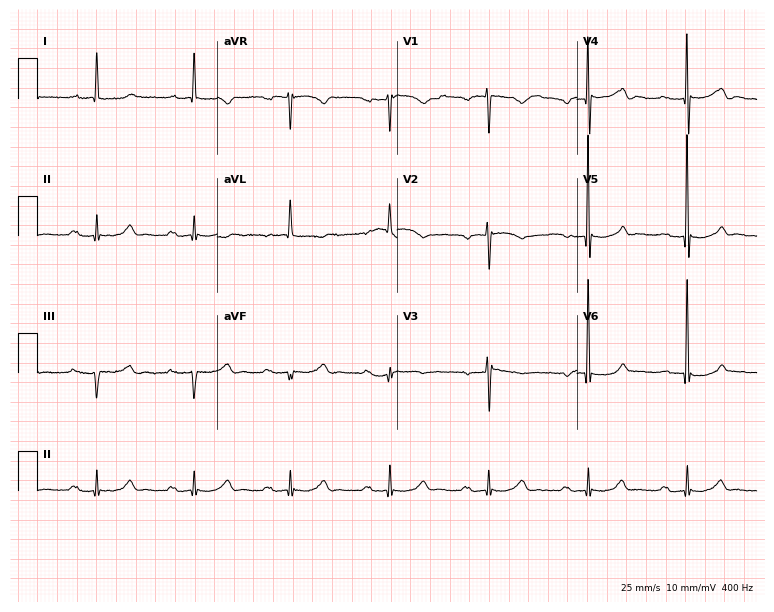
12-lead ECG from a 79-year-old female patient. Screened for six findings — first-degree AV block, right bundle branch block (RBBB), left bundle branch block (LBBB), sinus bradycardia, atrial fibrillation (AF), sinus tachycardia — none is recorded.